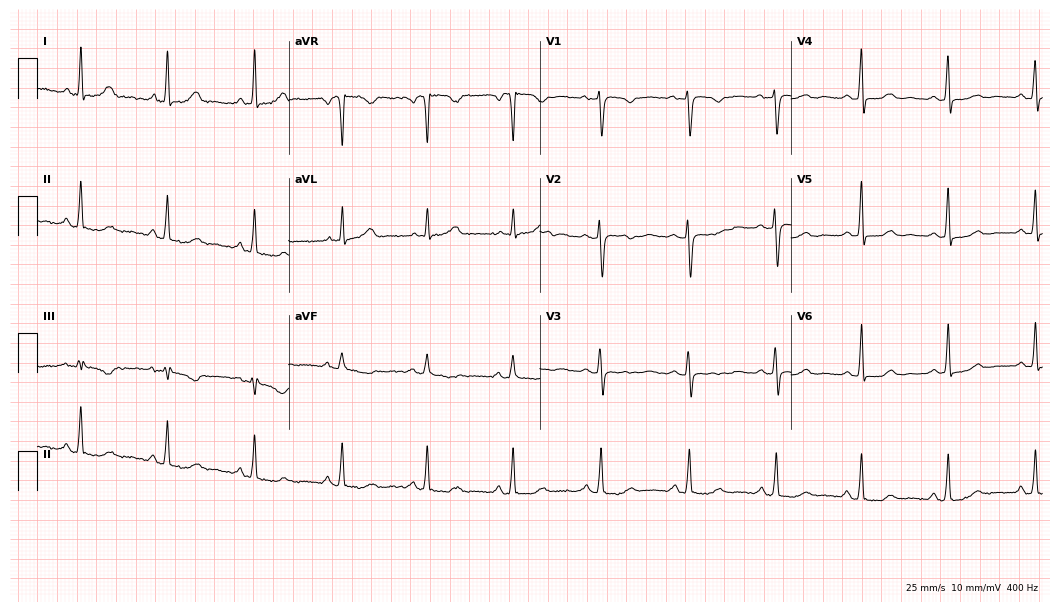
12-lead ECG (10.2-second recording at 400 Hz) from a woman, 49 years old. Labelled as a normal ECG.